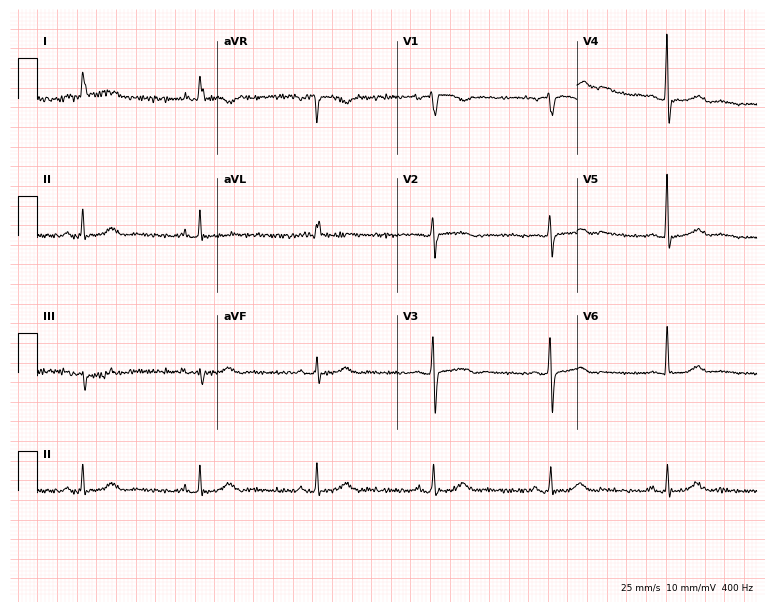
12-lead ECG (7.3-second recording at 400 Hz) from a female patient, 58 years old. Findings include sinus bradycardia (a sinus rate of 50 beats per minute or less).